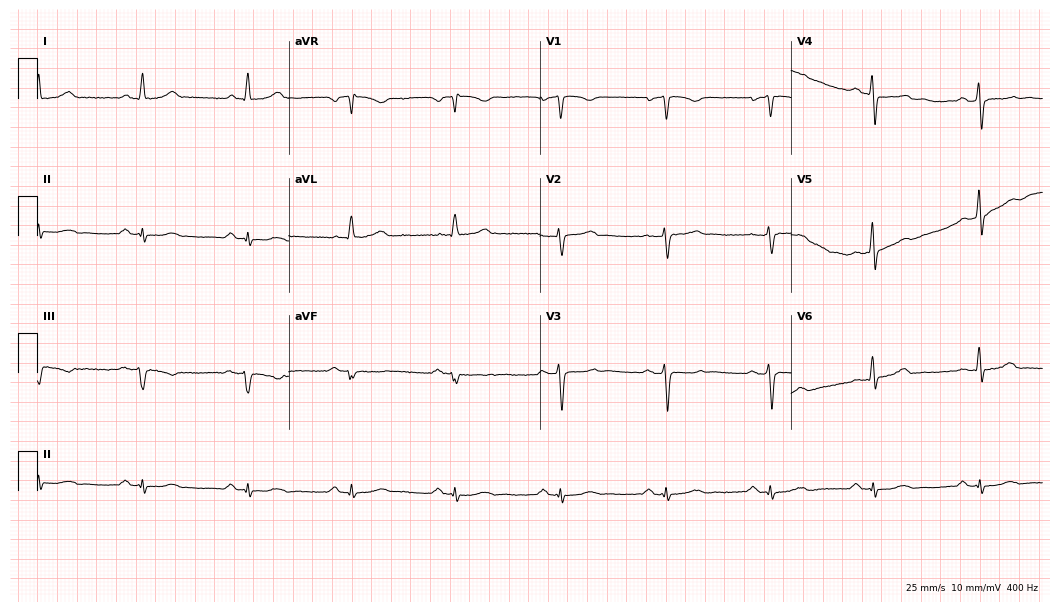
ECG — a 59-year-old man. Labelled as a normal ECG.